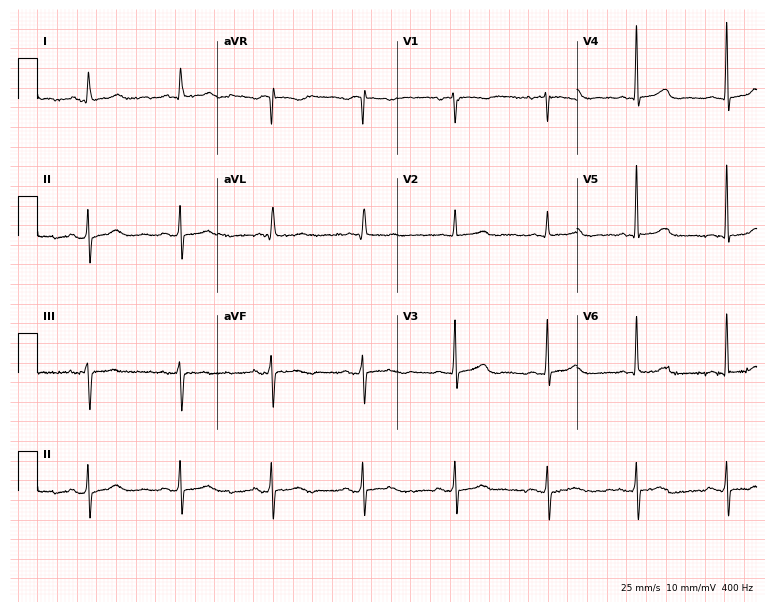
Resting 12-lead electrocardiogram. Patient: a female, 78 years old. None of these six findings is recorded: first-degree AV block, right bundle branch block (RBBB), left bundle branch block (LBBB), sinus bradycardia, atrial fibrillation (AF), sinus tachycardia.